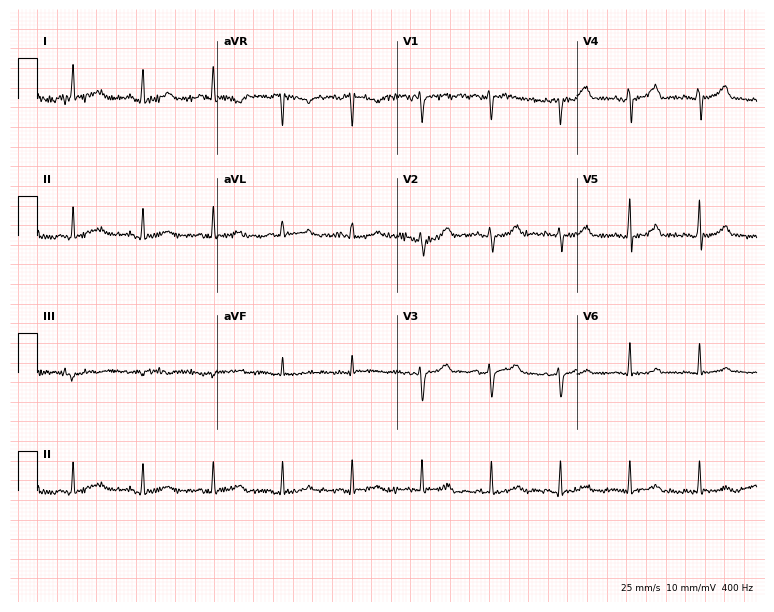
Electrocardiogram, a 52-year-old female patient. Of the six screened findings (first-degree AV block, right bundle branch block, left bundle branch block, sinus bradycardia, atrial fibrillation, sinus tachycardia), none is recorded. Other findings, if any, are not listed.